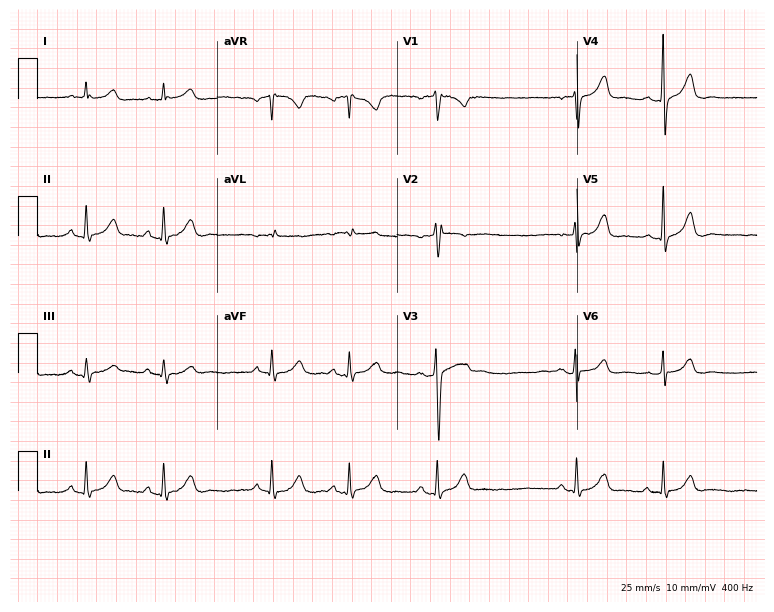
Electrocardiogram (7.3-second recording at 400 Hz), a 28-year-old woman. Of the six screened findings (first-degree AV block, right bundle branch block, left bundle branch block, sinus bradycardia, atrial fibrillation, sinus tachycardia), none is recorded.